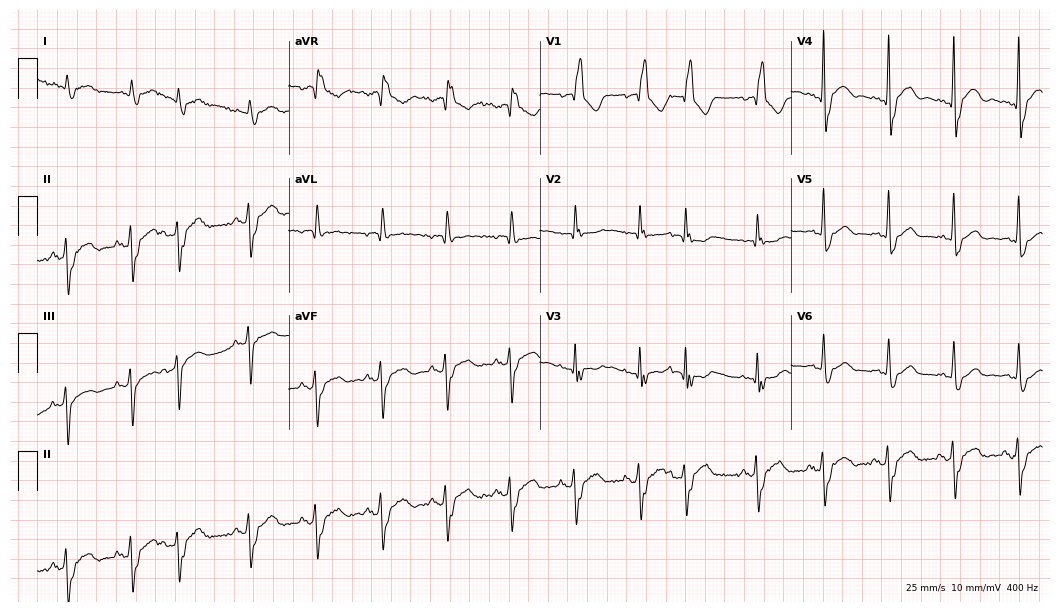
12-lead ECG from a male patient, 80 years old. Shows right bundle branch block (RBBB), left bundle branch block (LBBB).